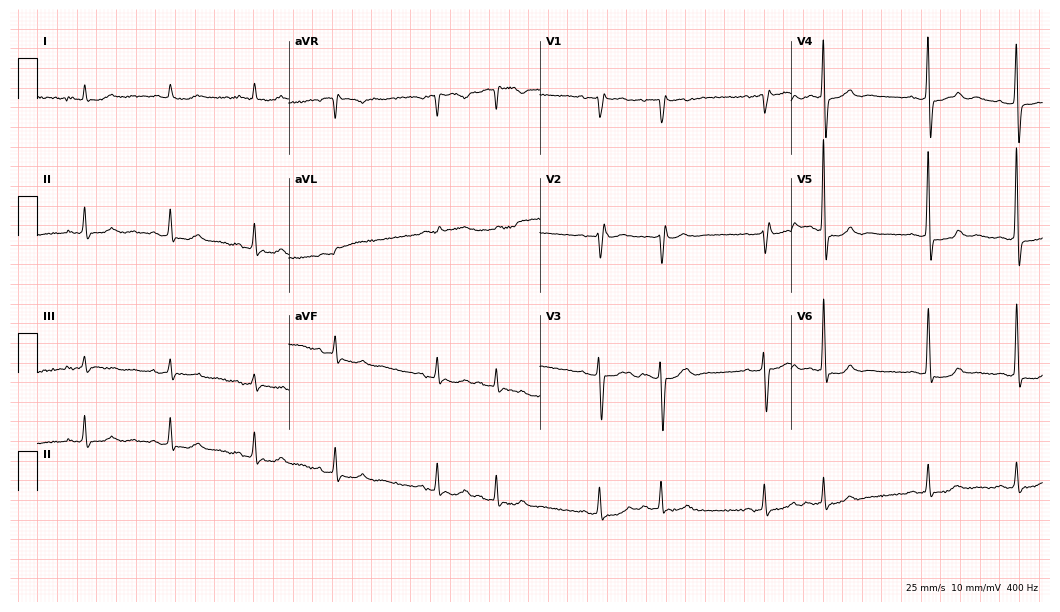
ECG (10.2-second recording at 400 Hz) — an 85-year-old female. Screened for six findings — first-degree AV block, right bundle branch block, left bundle branch block, sinus bradycardia, atrial fibrillation, sinus tachycardia — none is recorded.